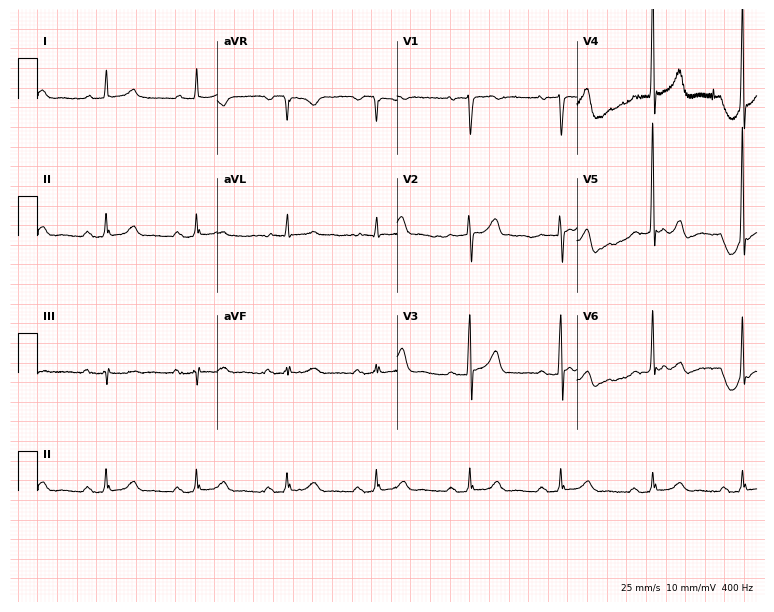
Resting 12-lead electrocardiogram. Patient: a male, 66 years old. Read as a normal ECG.